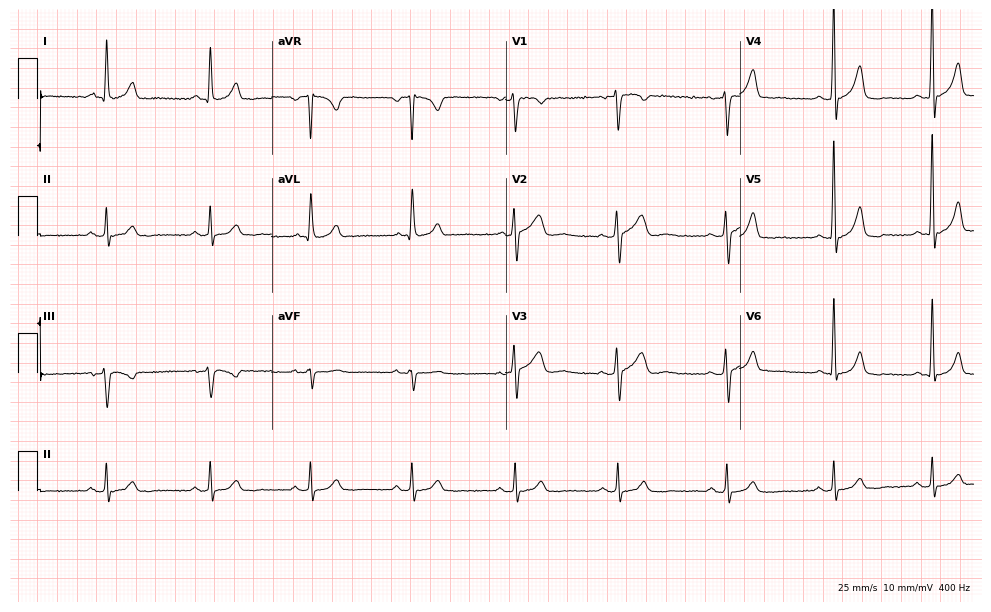
Resting 12-lead electrocardiogram. Patient: a 59-year-old female. None of these six findings is recorded: first-degree AV block, right bundle branch block, left bundle branch block, sinus bradycardia, atrial fibrillation, sinus tachycardia. Only these six findings were labelled.